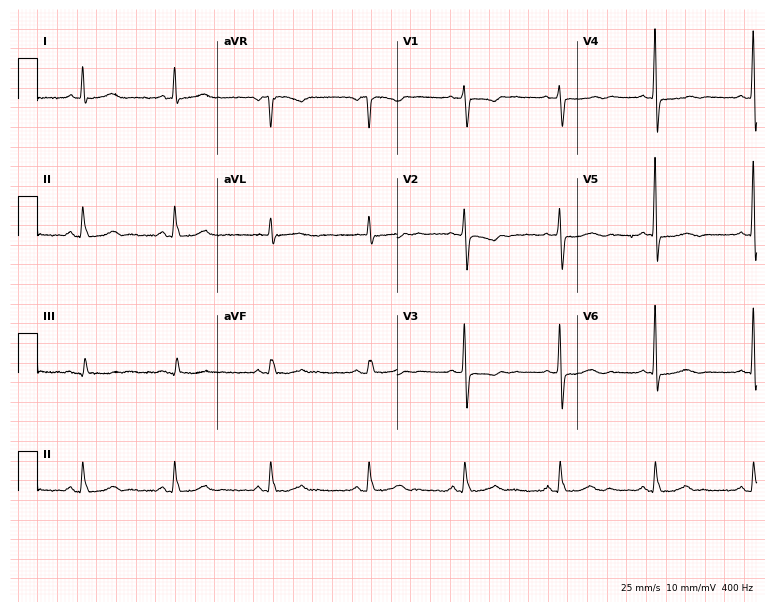
12-lead ECG (7.3-second recording at 400 Hz) from a woman, 69 years old. Screened for six findings — first-degree AV block, right bundle branch block, left bundle branch block, sinus bradycardia, atrial fibrillation, sinus tachycardia — none is recorded.